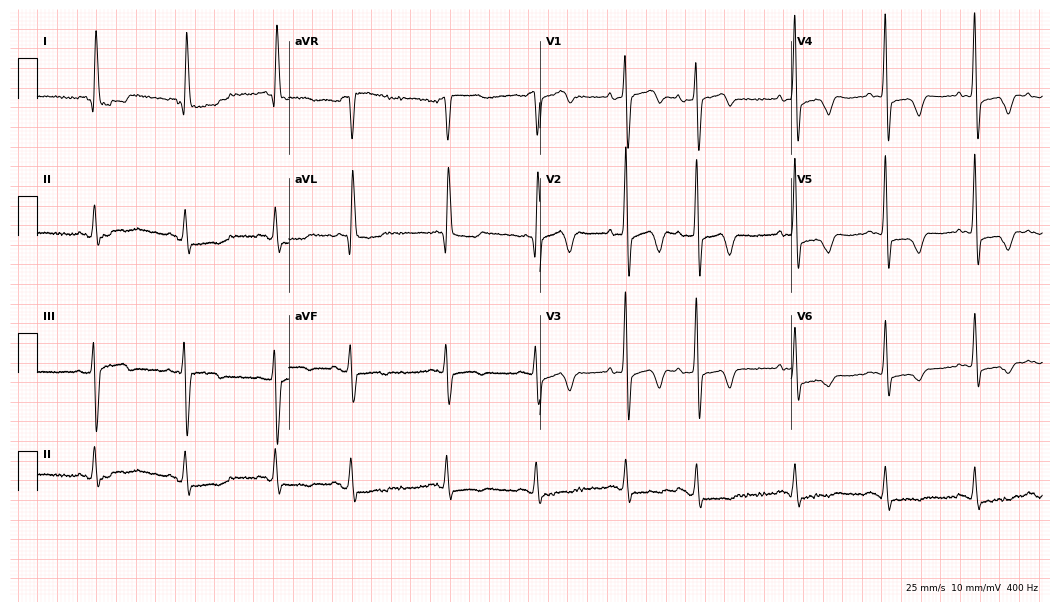
12-lead ECG from a 73-year-old female patient. Screened for six findings — first-degree AV block, right bundle branch block, left bundle branch block, sinus bradycardia, atrial fibrillation, sinus tachycardia — none is recorded. Only these six findings were labelled.